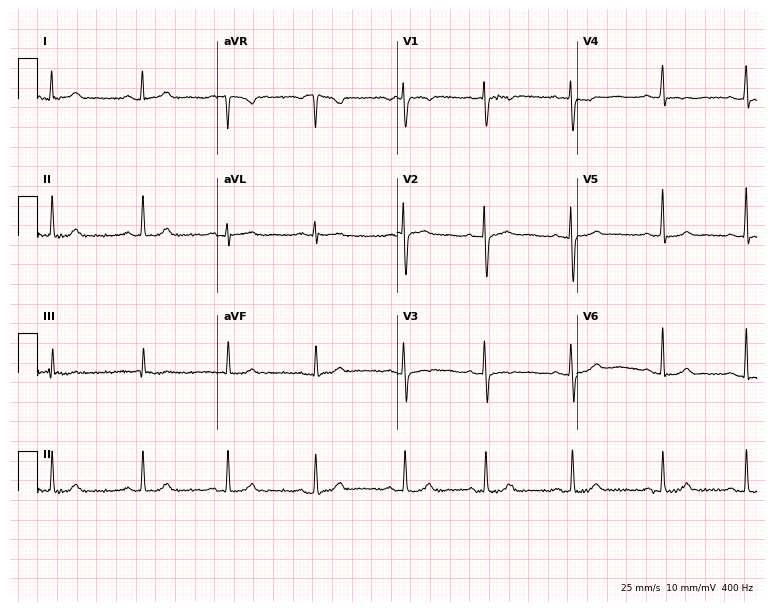
Standard 12-lead ECG recorded from a 28-year-old female. None of these six findings is recorded: first-degree AV block, right bundle branch block, left bundle branch block, sinus bradycardia, atrial fibrillation, sinus tachycardia. Findings outside these six are not listed.